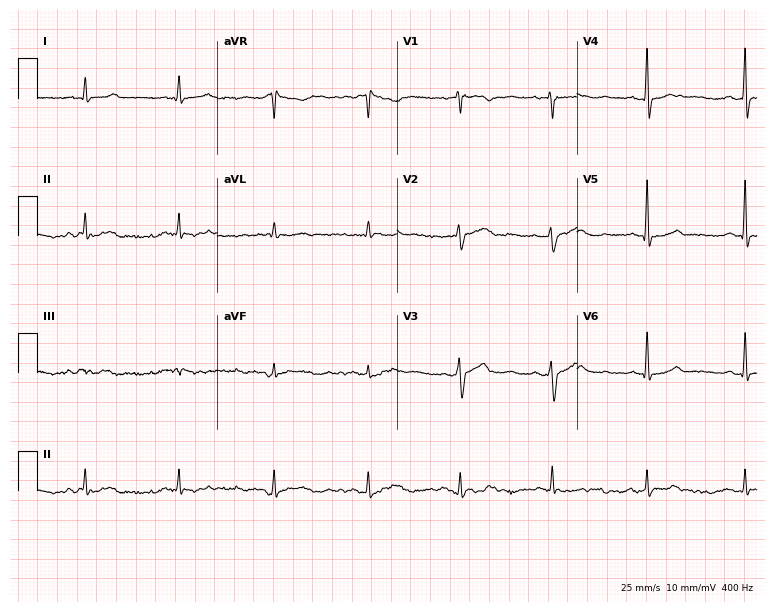
ECG — a 37-year-old female. Screened for six findings — first-degree AV block, right bundle branch block, left bundle branch block, sinus bradycardia, atrial fibrillation, sinus tachycardia — none is recorded. Only these six findings were labelled.